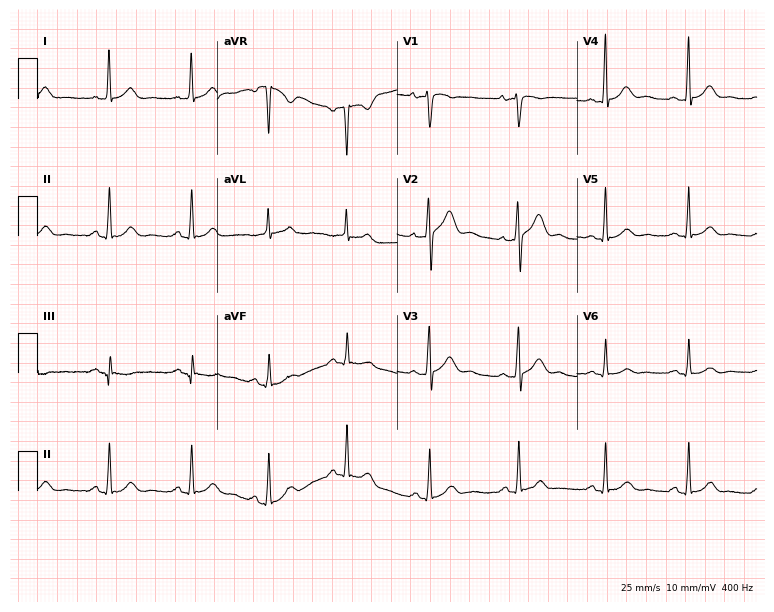
Electrocardiogram, a 36-year-old male. Overall reading on record: normal ECG.